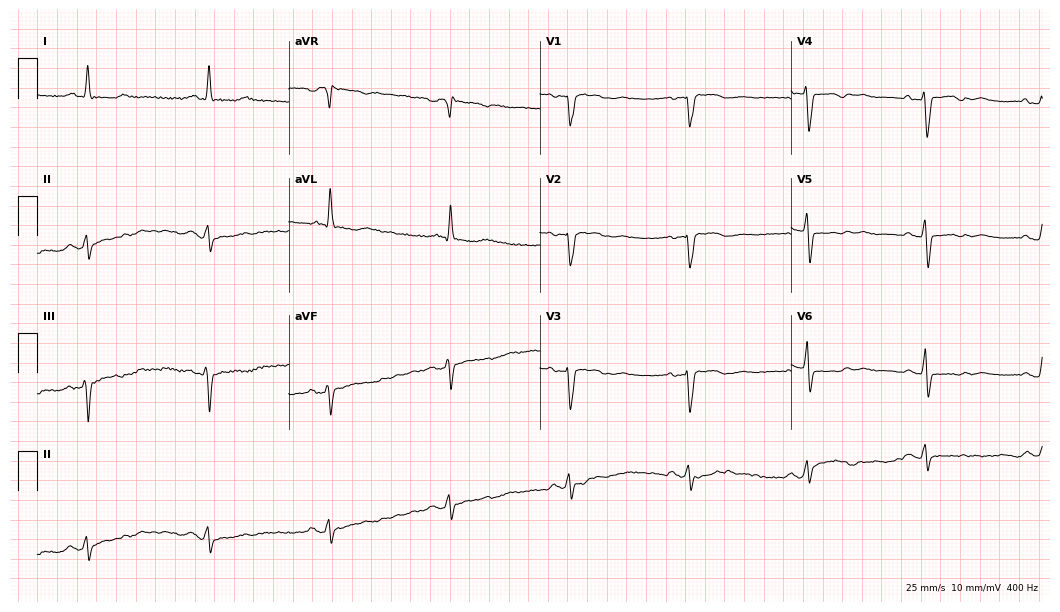
12-lead ECG from a female patient, 42 years old. Shows sinus bradycardia (a sinus rate of 50 beats per minute or less).